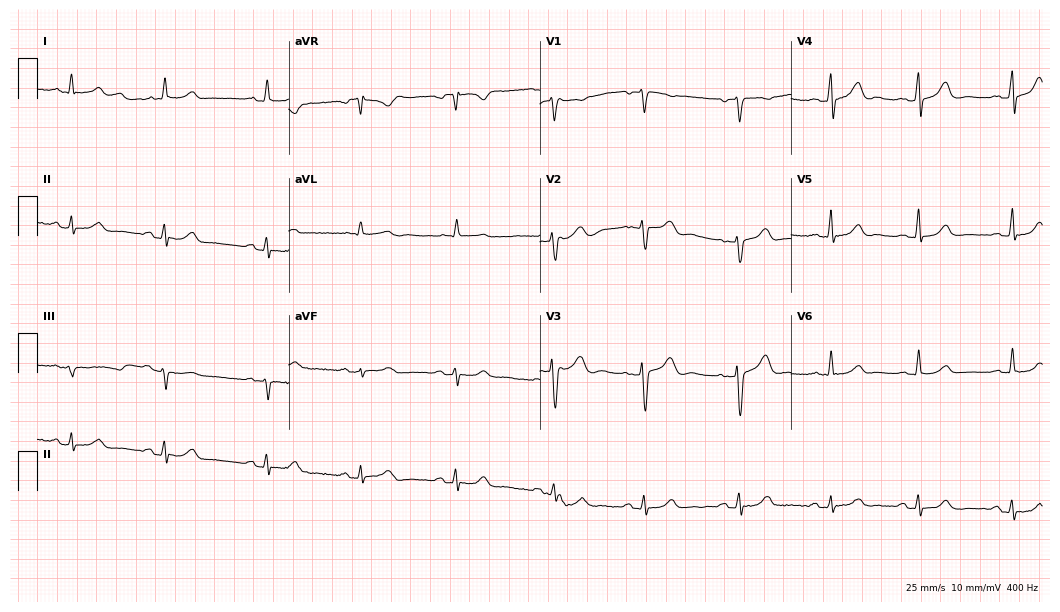
Electrocardiogram, a female, 48 years old. Overall reading on record: normal ECG.